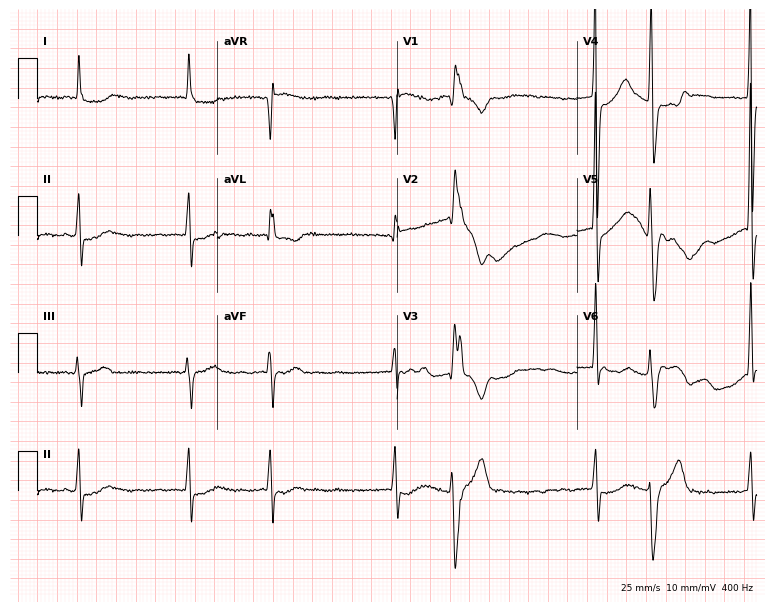
Standard 12-lead ECG recorded from a 70-year-old female patient (7.3-second recording at 400 Hz). The tracing shows right bundle branch block (RBBB), atrial fibrillation (AF).